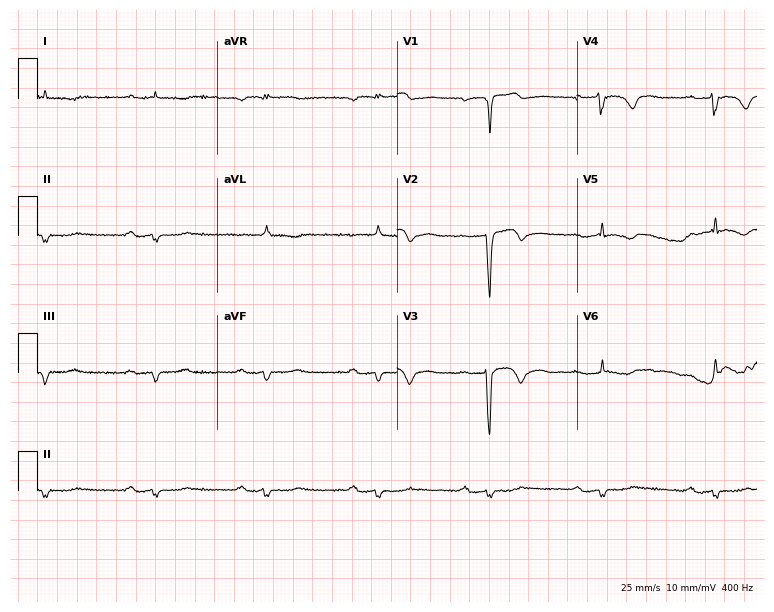
Resting 12-lead electrocardiogram. Patient: a male, 80 years old. The tracing shows first-degree AV block.